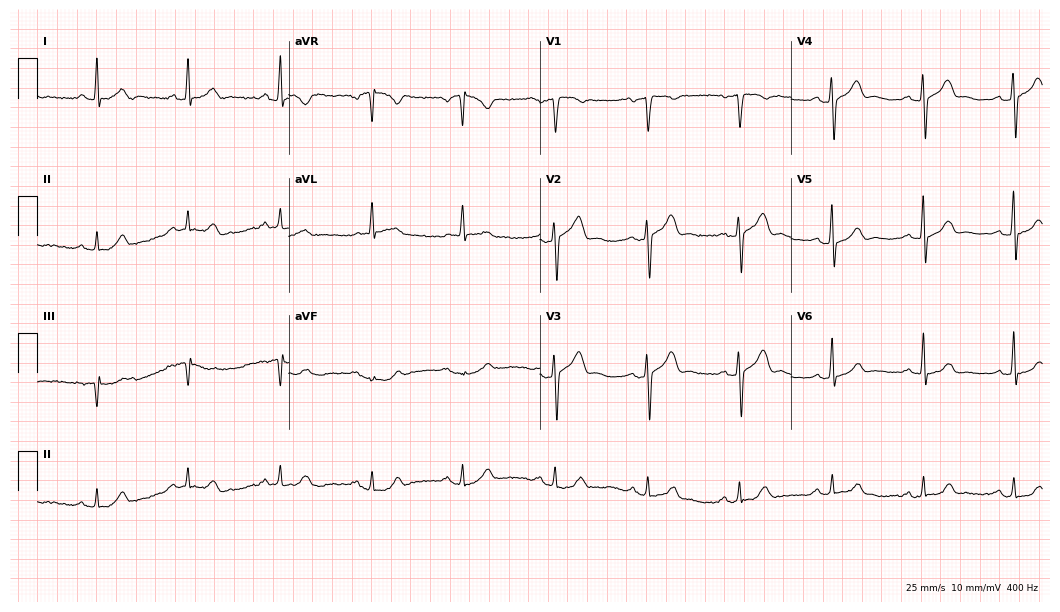
12-lead ECG from a 53-year-old man. Recorded interpretation: within normal limits.